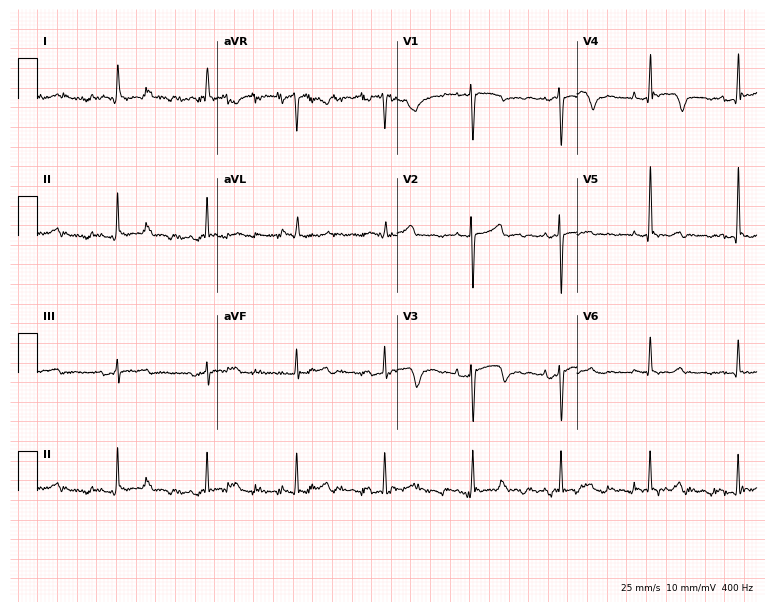
12-lead ECG from a woman, 83 years old. No first-degree AV block, right bundle branch block, left bundle branch block, sinus bradycardia, atrial fibrillation or sinus tachycardia recorded for this tracing.